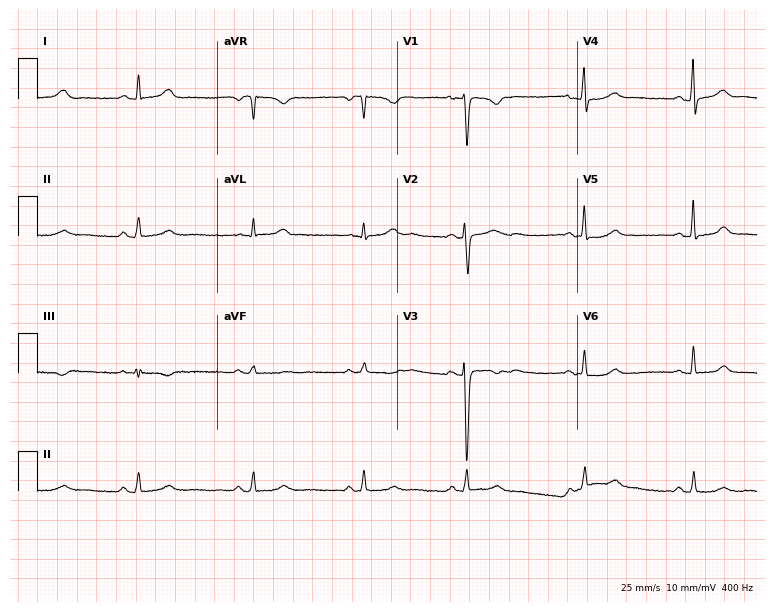
12-lead ECG from a female patient, 23 years old. Labelled as a normal ECG.